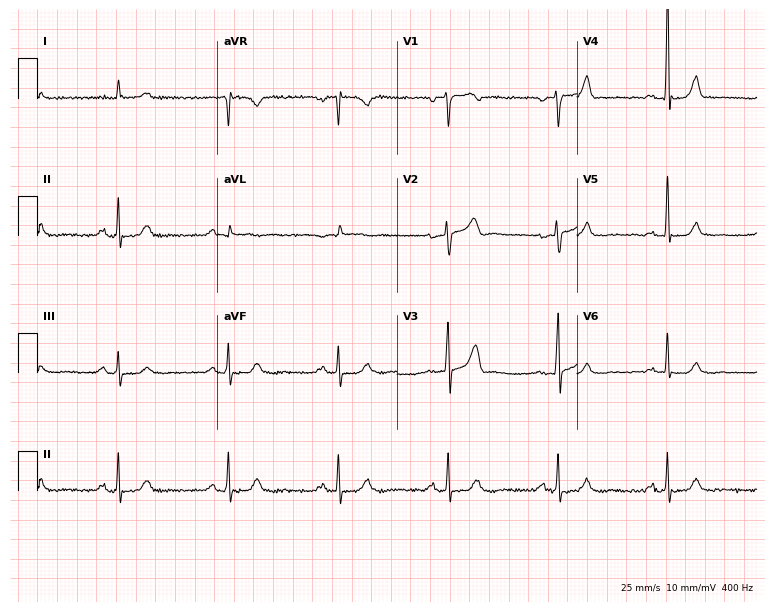
Electrocardiogram (7.3-second recording at 400 Hz), a male patient, 56 years old. Of the six screened findings (first-degree AV block, right bundle branch block, left bundle branch block, sinus bradycardia, atrial fibrillation, sinus tachycardia), none is recorded.